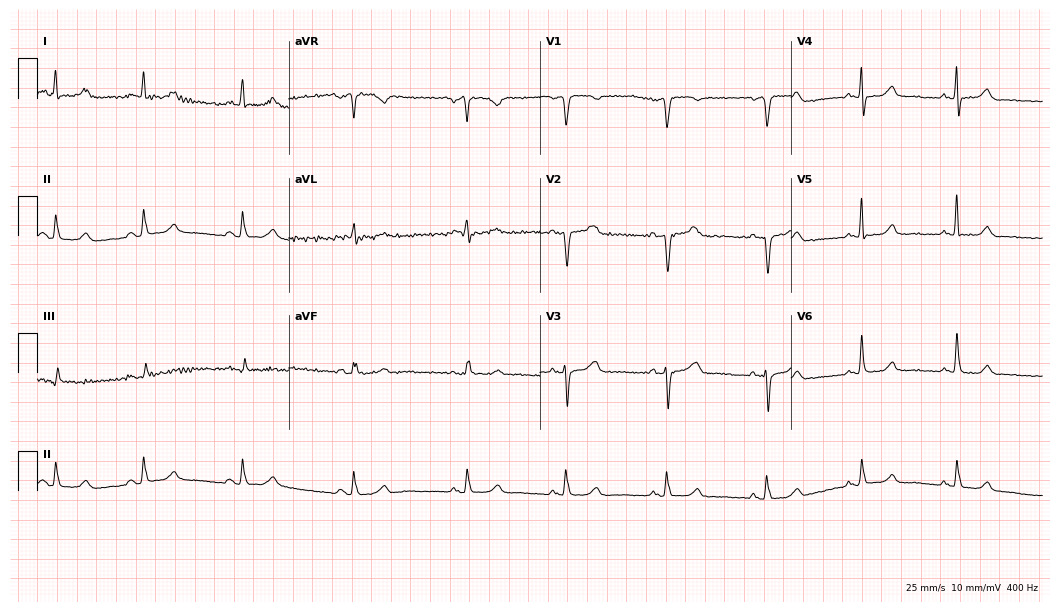
12-lead ECG (10.2-second recording at 400 Hz) from a female, 83 years old. Labelled as a normal ECG.